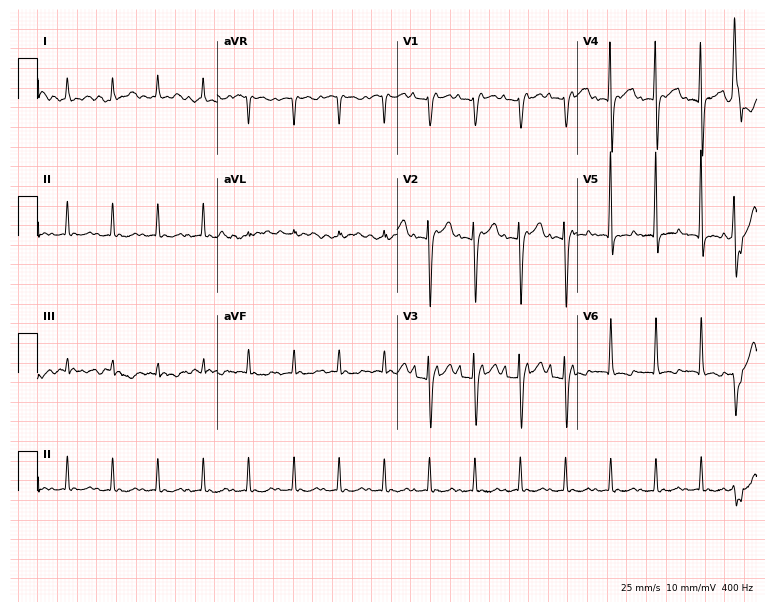
Resting 12-lead electrocardiogram. Patient: a woman, 79 years old. None of these six findings is recorded: first-degree AV block, right bundle branch block, left bundle branch block, sinus bradycardia, atrial fibrillation, sinus tachycardia.